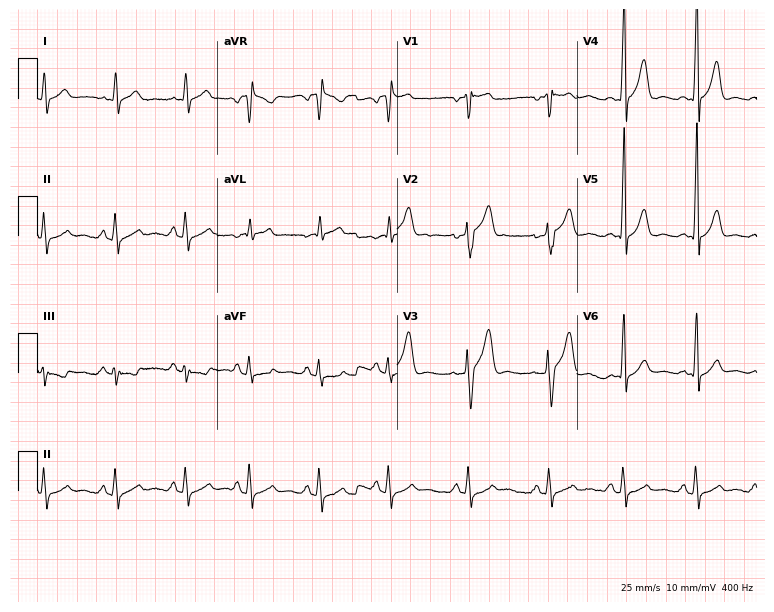
Standard 12-lead ECG recorded from a male patient, 27 years old. None of these six findings is recorded: first-degree AV block, right bundle branch block, left bundle branch block, sinus bradycardia, atrial fibrillation, sinus tachycardia. Only these six findings were labelled.